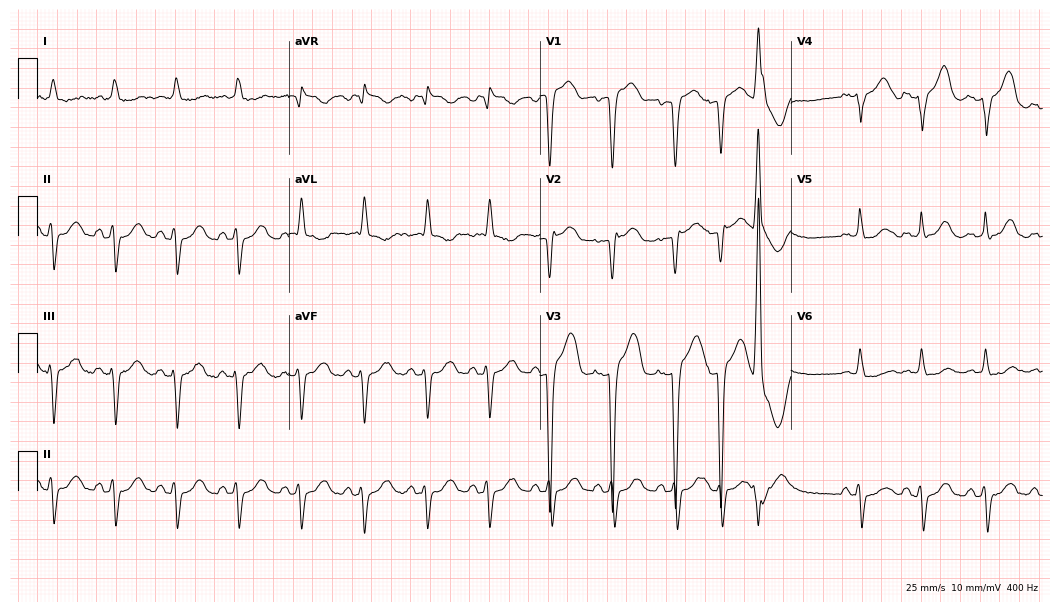
Electrocardiogram, a female, 70 years old. Of the six screened findings (first-degree AV block, right bundle branch block, left bundle branch block, sinus bradycardia, atrial fibrillation, sinus tachycardia), none is recorded.